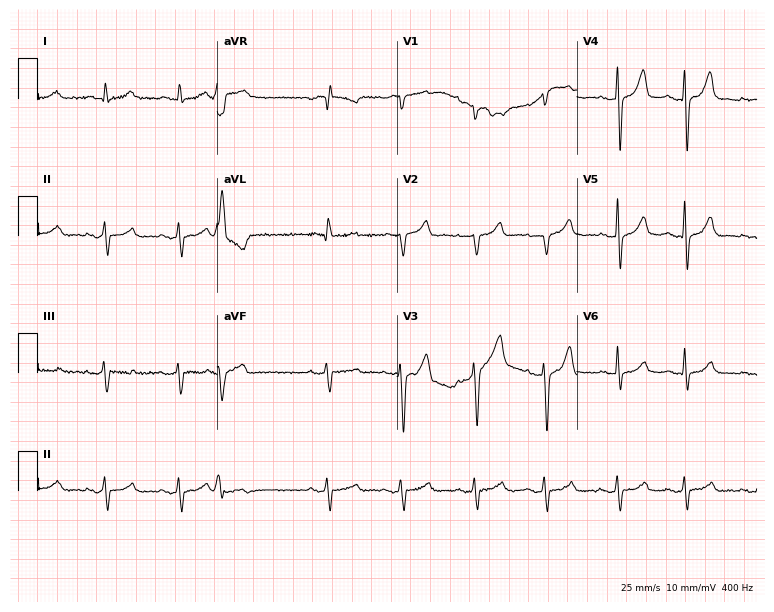
Standard 12-lead ECG recorded from a male patient, 81 years old (7.3-second recording at 400 Hz). None of these six findings is recorded: first-degree AV block, right bundle branch block, left bundle branch block, sinus bradycardia, atrial fibrillation, sinus tachycardia. Other findings, if any, are not listed.